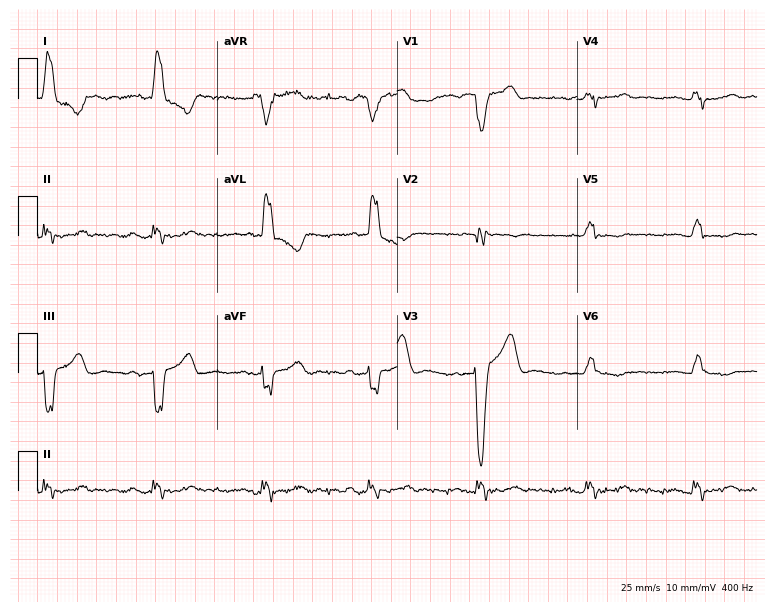
Standard 12-lead ECG recorded from a 79-year-old female. None of these six findings is recorded: first-degree AV block, right bundle branch block (RBBB), left bundle branch block (LBBB), sinus bradycardia, atrial fibrillation (AF), sinus tachycardia.